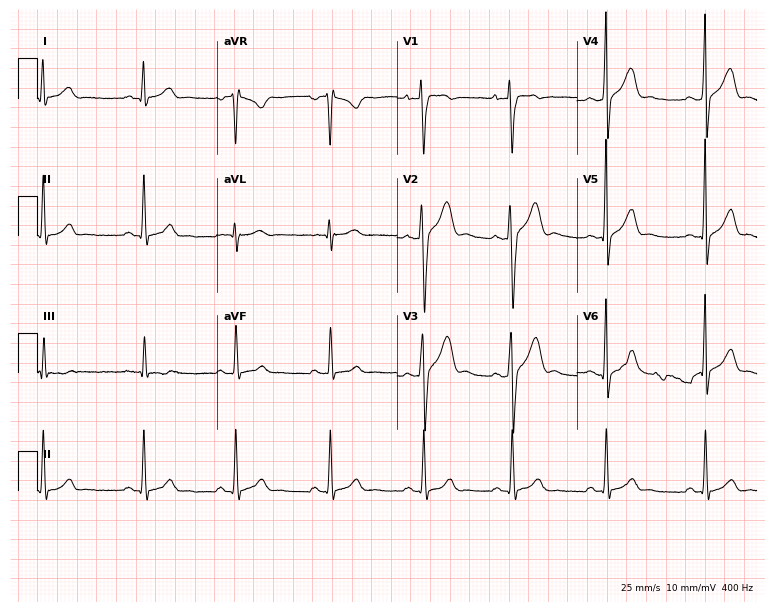
Standard 12-lead ECG recorded from an 18-year-old male patient (7.3-second recording at 400 Hz). None of these six findings is recorded: first-degree AV block, right bundle branch block, left bundle branch block, sinus bradycardia, atrial fibrillation, sinus tachycardia.